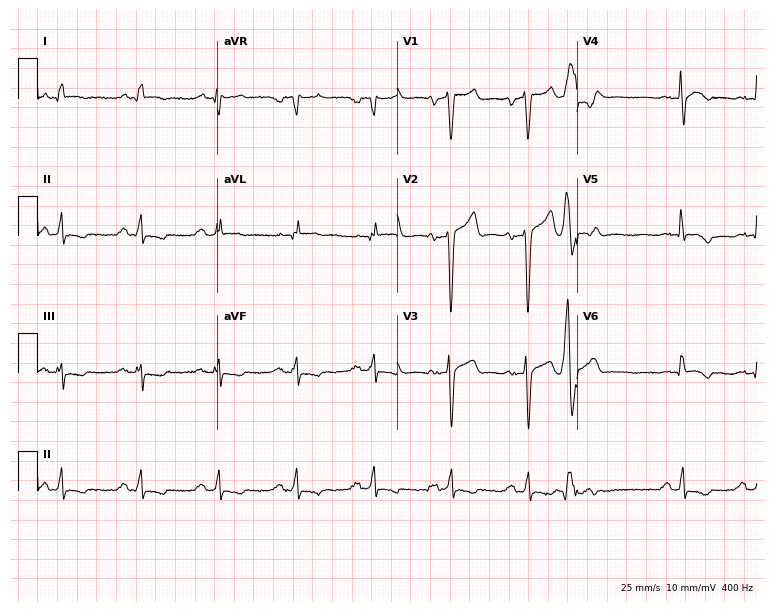
ECG — a 62-year-old male patient. Screened for six findings — first-degree AV block, right bundle branch block, left bundle branch block, sinus bradycardia, atrial fibrillation, sinus tachycardia — none is recorded. Only these six findings were labelled.